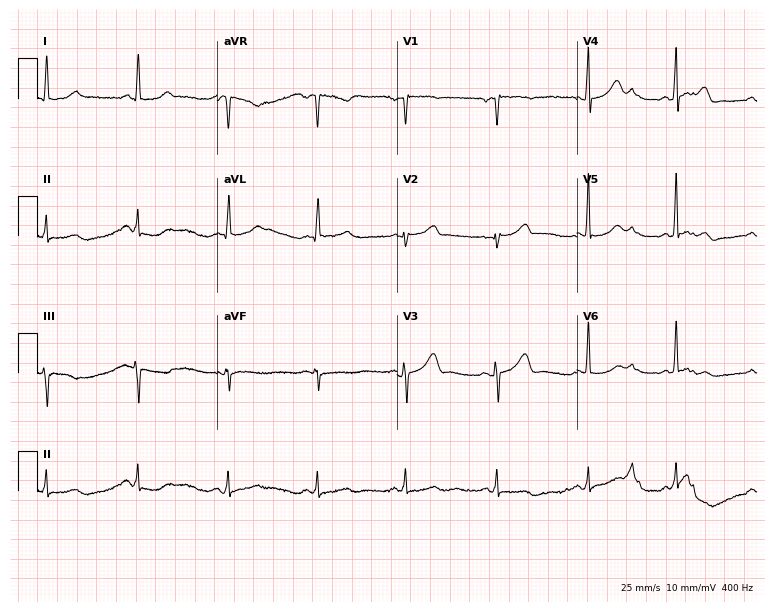
Standard 12-lead ECG recorded from a female, 57 years old. None of these six findings is recorded: first-degree AV block, right bundle branch block, left bundle branch block, sinus bradycardia, atrial fibrillation, sinus tachycardia. Findings outside these six are not listed.